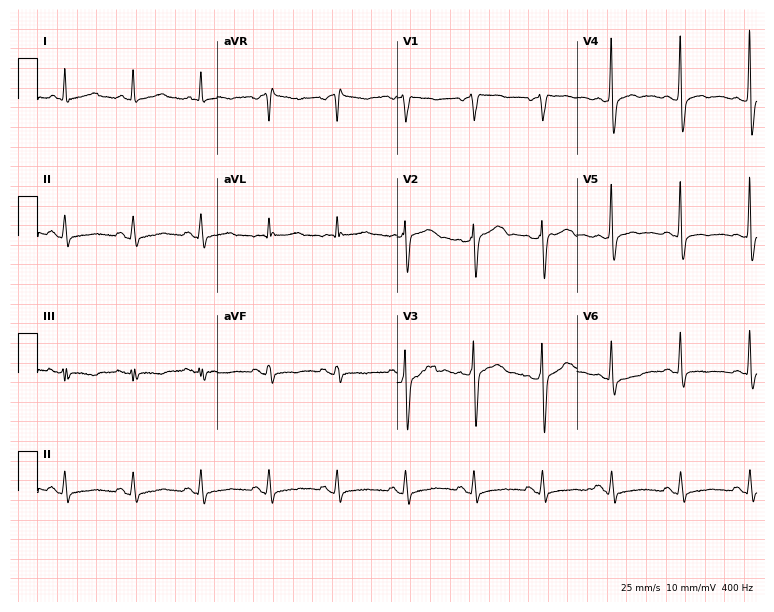
Resting 12-lead electrocardiogram (7.3-second recording at 400 Hz). Patient: a man, 62 years old. None of these six findings is recorded: first-degree AV block, right bundle branch block, left bundle branch block, sinus bradycardia, atrial fibrillation, sinus tachycardia. Only these six findings were labelled.